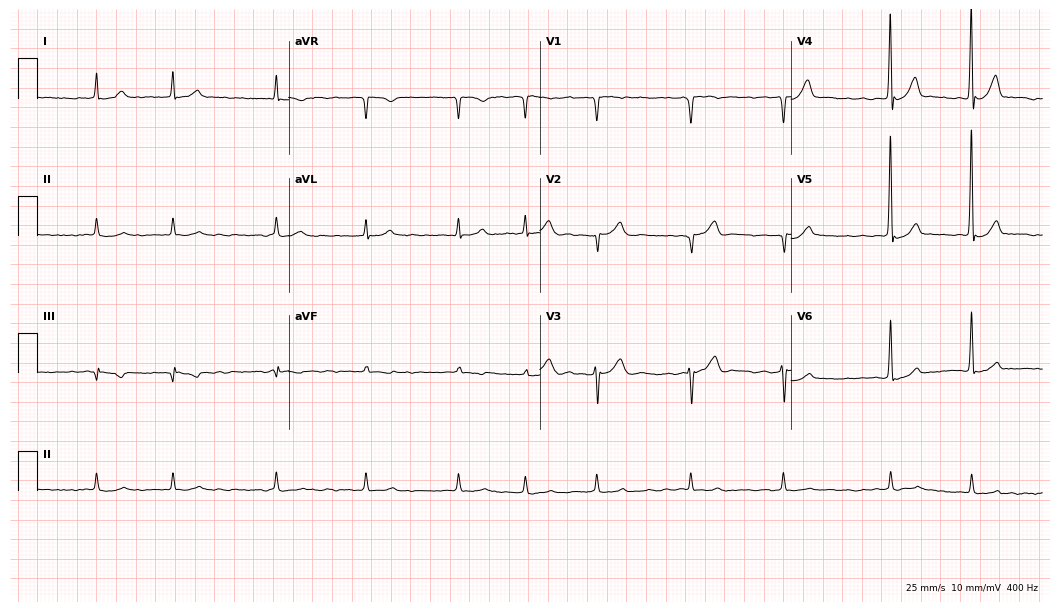
12-lead ECG (10.2-second recording at 400 Hz) from a man, 80 years old. Findings include atrial fibrillation.